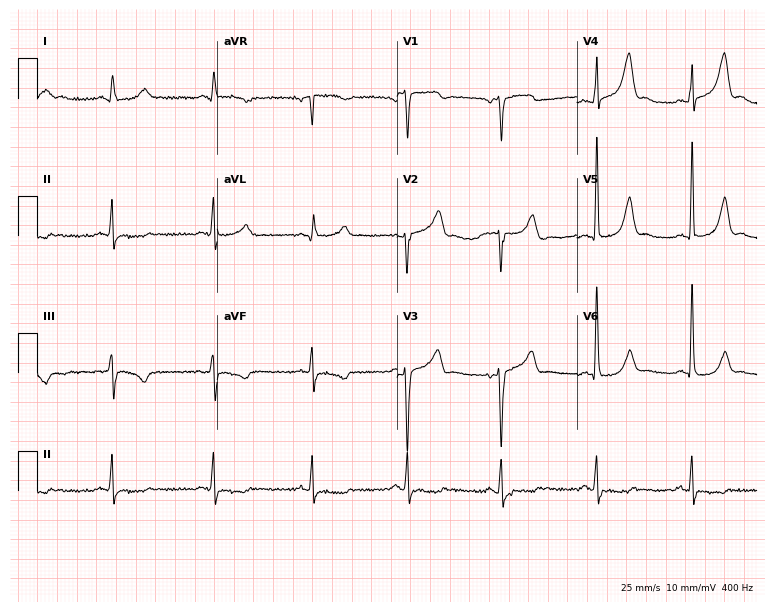
Resting 12-lead electrocardiogram (7.3-second recording at 400 Hz). Patient: a 71-year-old male. None of these six findings is recorded: first-degree AV block, right bundle branch block, left bundle branch block, sinus bradycardia, atrial fibrillation, sinus tachycardia.